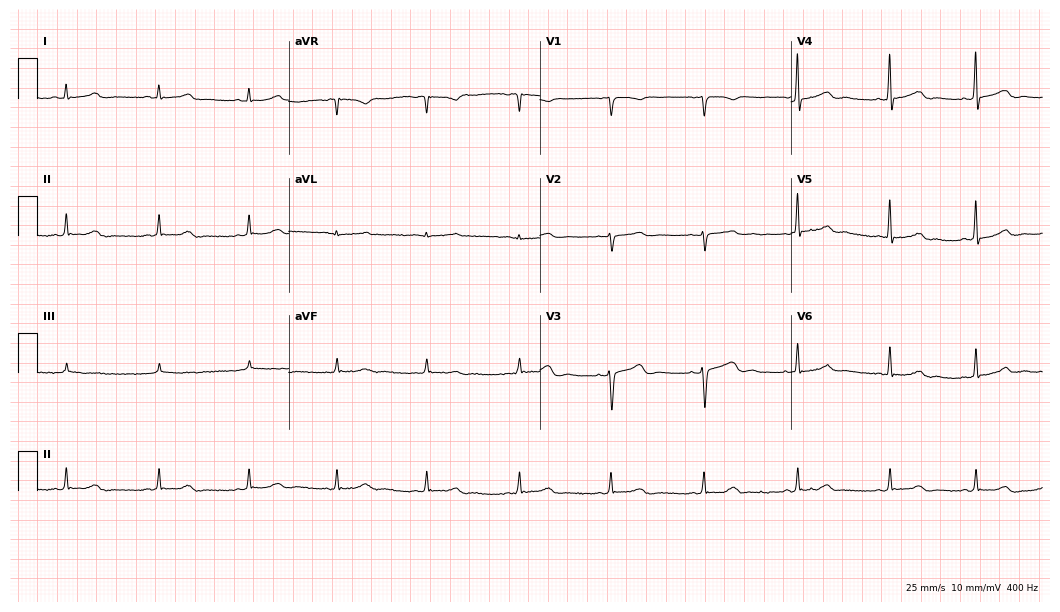
Electrocardiogram (10.2-second recording at 400 Hz), a 32-year-old woman. Overall reading on record: normal ECG.